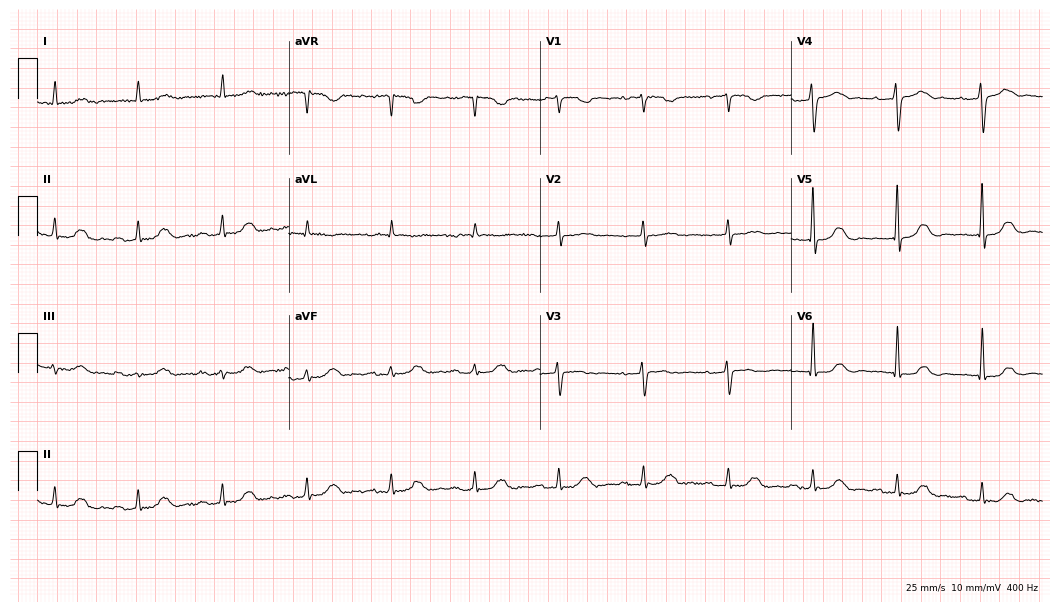
Electrocardiogram, a female patient, 75 years old. Interpretation includes first-degree AV block.